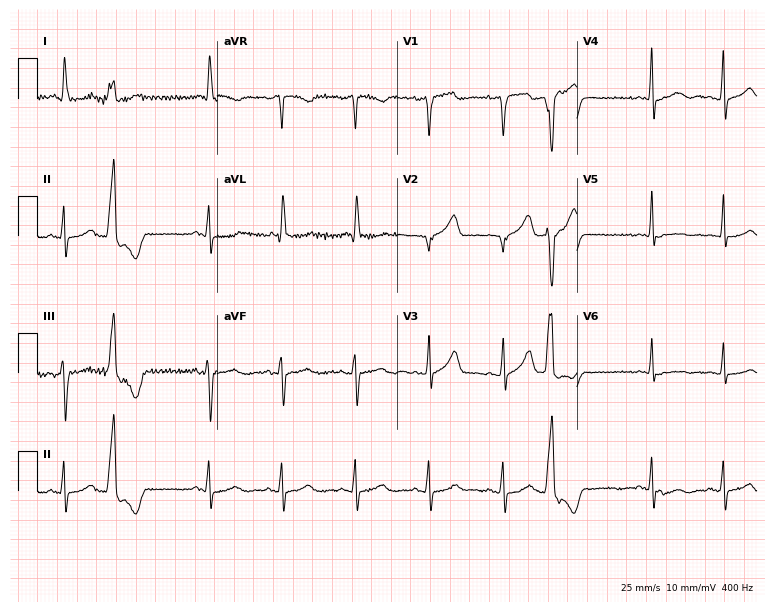
Electrocardiogram (7.3-second recording at 400 Hz), a 74-year-old woman. Of the six screened findings (first-degree AV block, right bundle branch block (RBBB), left bundle branch block (LBBB), sinus bradycardia, atrial fibrillation (AF), sinus tachycardia), none is recorded. Other findings, if any, are not listed.